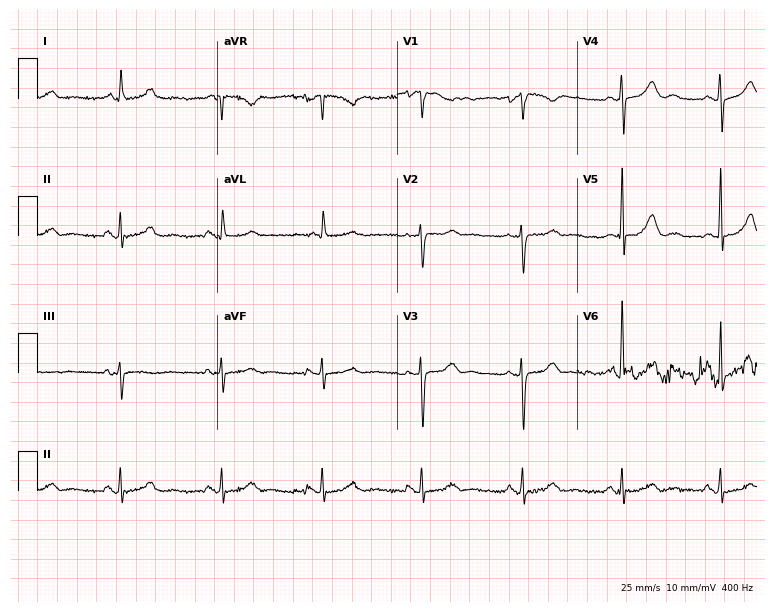
12-lead ECG (7.3-second recording at 400 Hz) from an 84-year-old female patient. Labelled as a normal ECG.